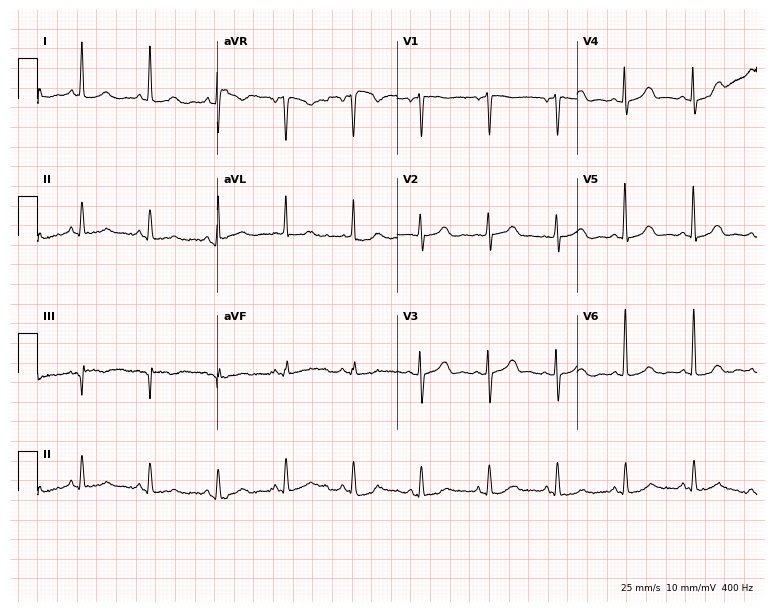
12-lead ECG from a 78-year-old female. Screened for six findings — first-degree AV block, right bundle branch block, left bundle branch block, sinus bradycardia, atrial fibrillation, sinus tachycardia — none is recorded.